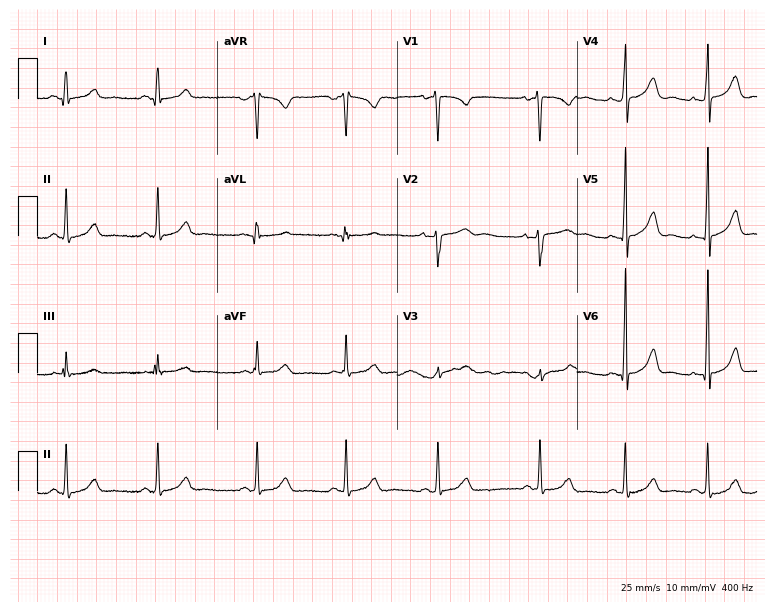
Standard 12-lead ECG recorded from a 19-year-old woman (7.3-second recording at 400 Hz). Read as a normal ECG.